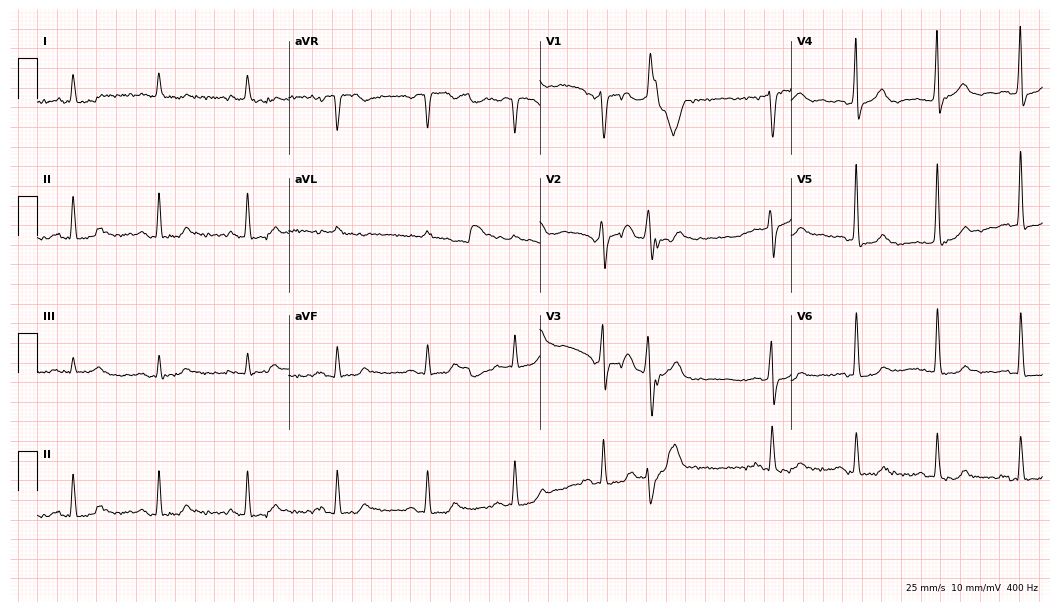
Standard 12-lead ECG recorded from an 84-year-old male (10.2-second recording at 400 Hz). None of these six findings is recorded: first-degree AV block, right bundle branch block, left bundle branch block, sinus bradycardia, atrial fibrillation, sinus tachycardia.